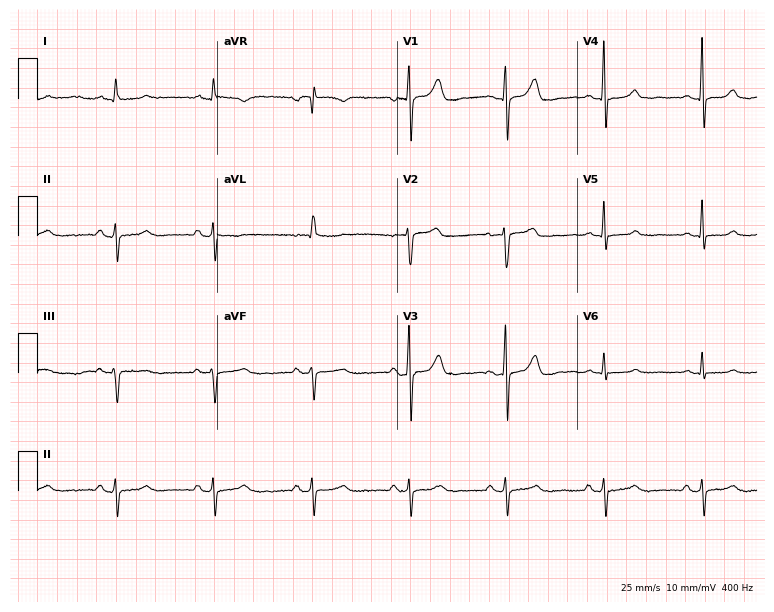
ECG — a 70-year-old woman. Screened for six findings — first-degree AV block, right bundle branch block (RBBB), left bundle branch block (LBBB), sinus bradycardia, atrial fibrillation (AF), sinus tachycardia — none is recorded. Other findings, if any, are not listed.